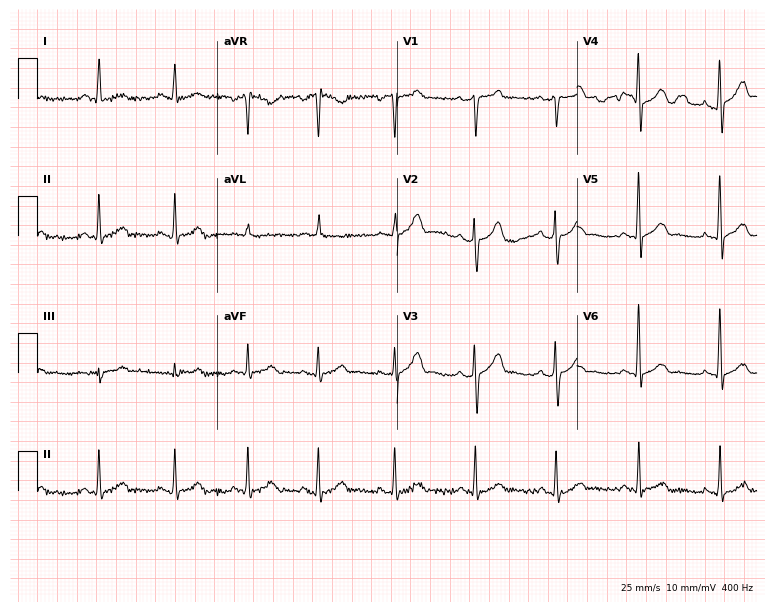
12-lead ECG from a 41-year-old man. Labelled as a normal ECG.